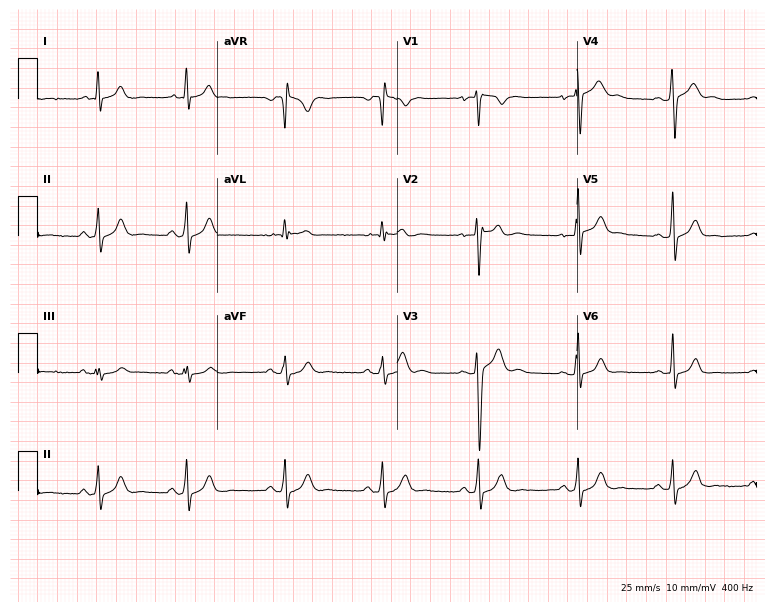
Electrocardiogram, a man, 19 years old. Of the six screened findings (first-degree AV block, right bundle branch block, left bundle branch block, sinus bradycardia, atrial fibrillation, sinus tachycardia), none is recorded.